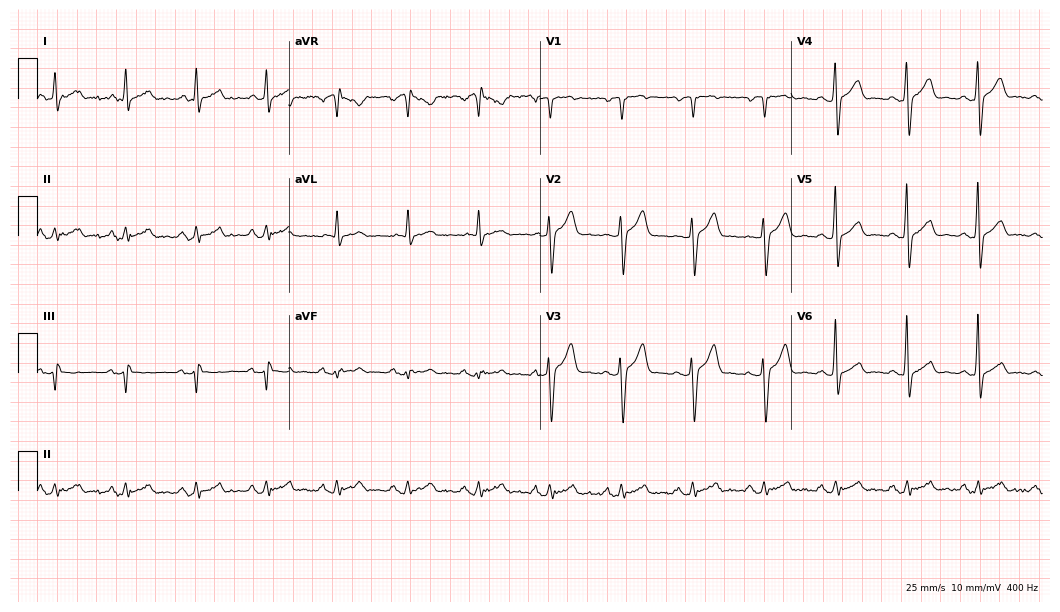
Resting 12-lead electrocardiogram (10.2-second recording at 400 Hz). Patient: a 50-year-old man. None of these six findings is recorded: first-degree AV block, right bundle branch block, left bundle branch block, sinus bradycardia, atrial fibrillation, sinus tachycardia. Other findings, if any, are not listed.